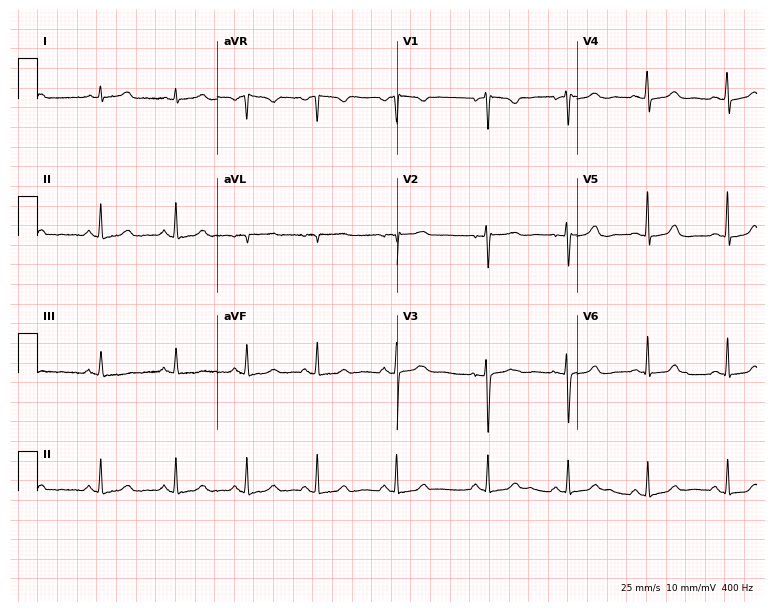
Electrocardiogram, a woman, 34 years old. Of the six screened findings (first-degree AV block, right bundle branch block, left bundle branch block, sinus bradycardia, atrial fibrillation, sinus tachycardia), none is recorded.